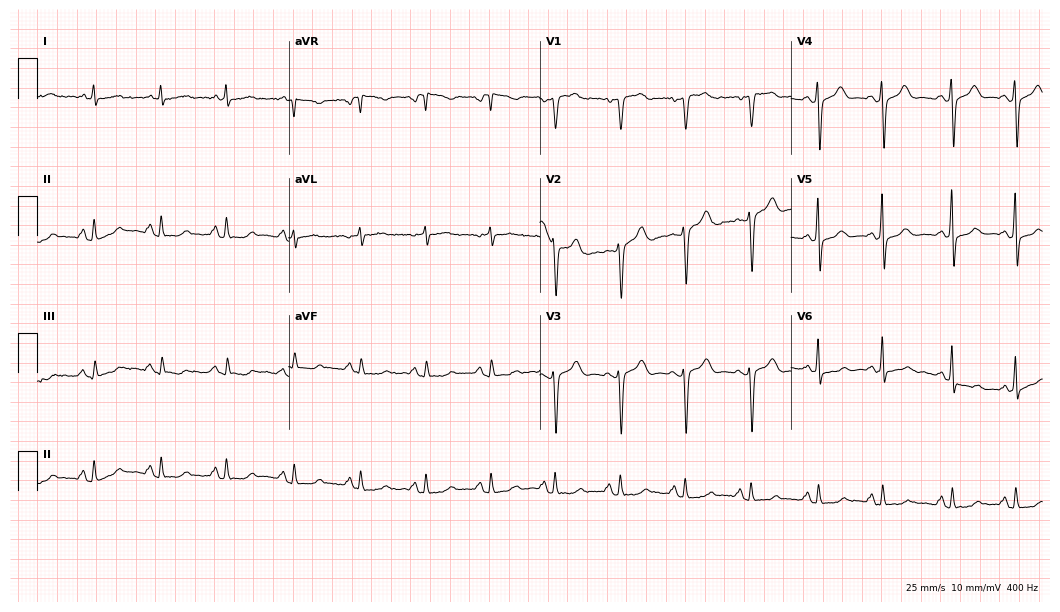
Standard 12-lead ECG recorded from a woman, 59 years old (10.2-second recording at 400 Hz). Read as a normal ECG.